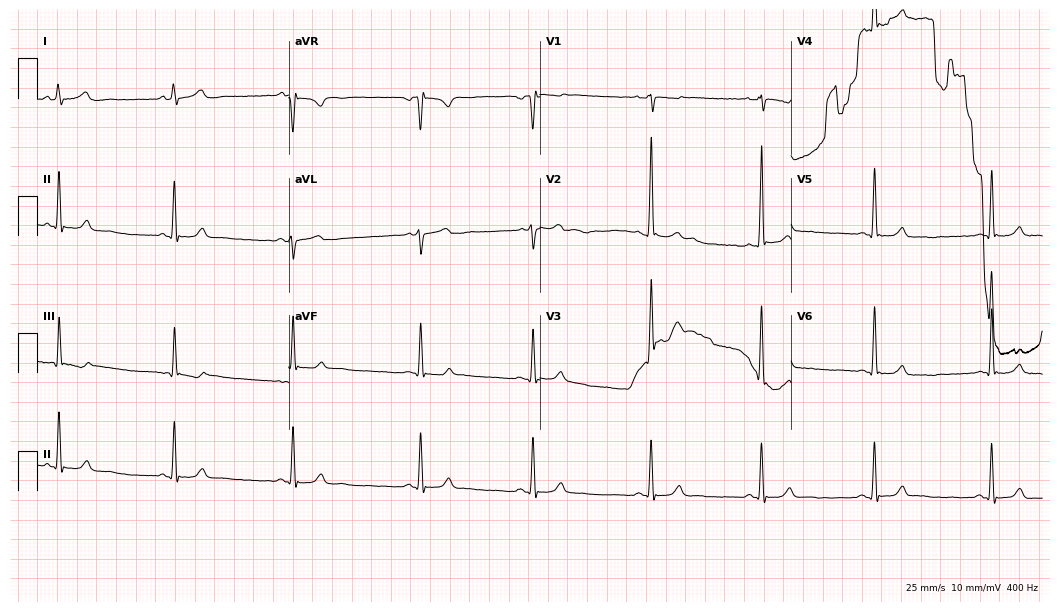
12-lead ECG from a male patient, 17 years old. Screened for six findings — first-degree AV block, right bundle branch block, left bundle branch block, sinus bradycardia, atrial fibrillation, sinus tachycardia — none is recorded.